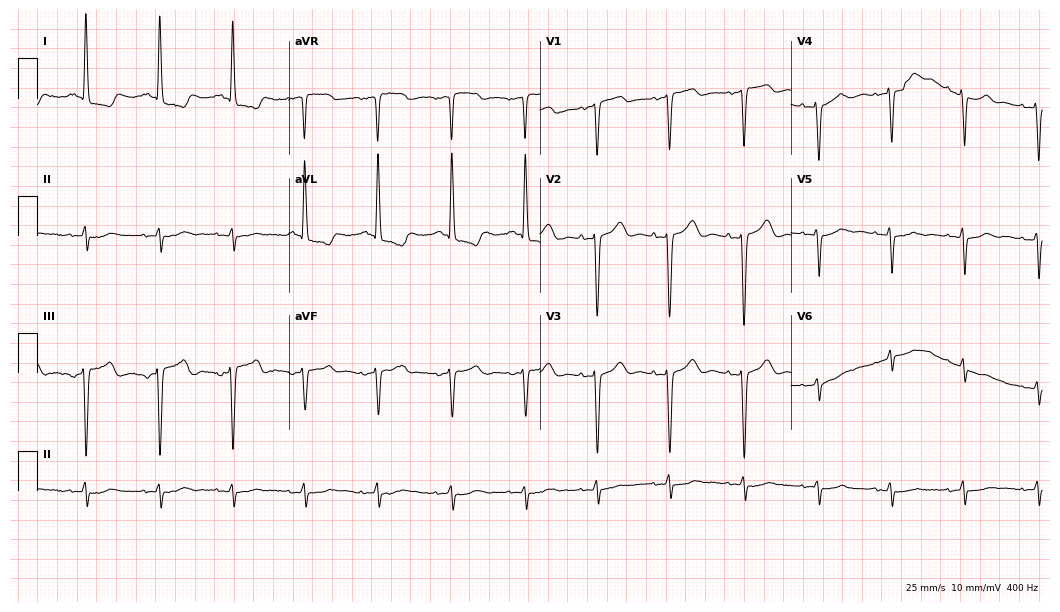
12-lead ECG from a female, 85 years old. Screened for six findings — first-degree AV block, right bundle branch block, left bundle branch block, sinus bradycardia, atrial fibrillation, sinus tachycardia — none is recorded.